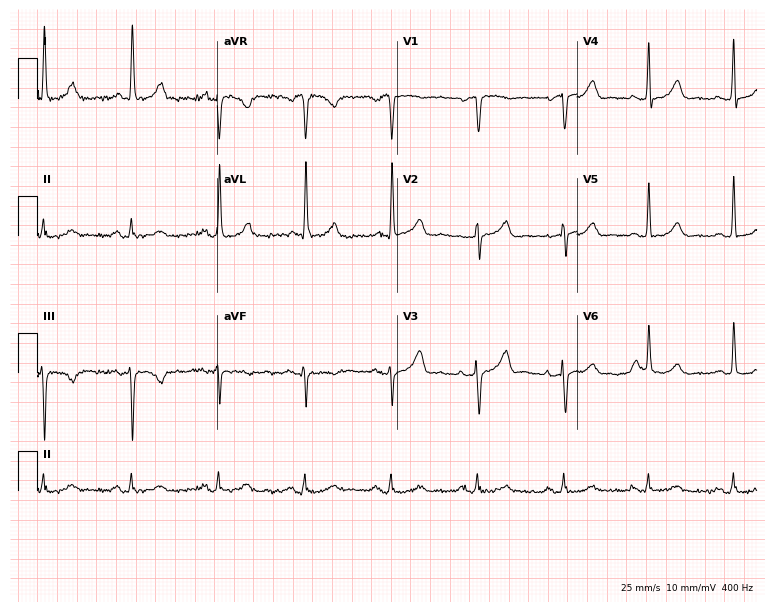
Electrocardiogram, a female patient, 82 years old. Overall reading on record: normal ECG.